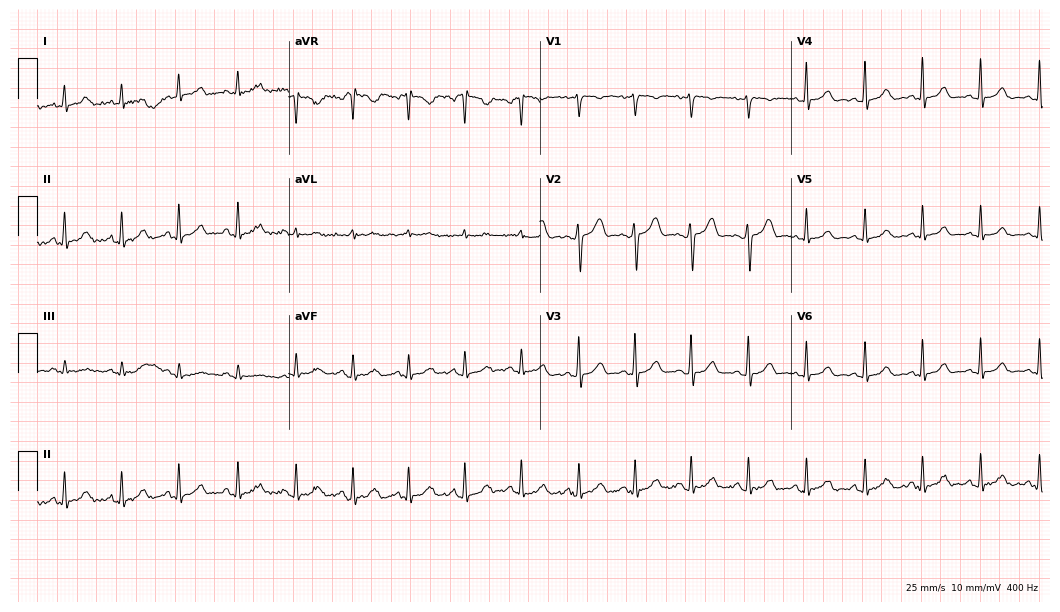
ECG — a 35-year-old female patient. Labelled as a normal ECG.